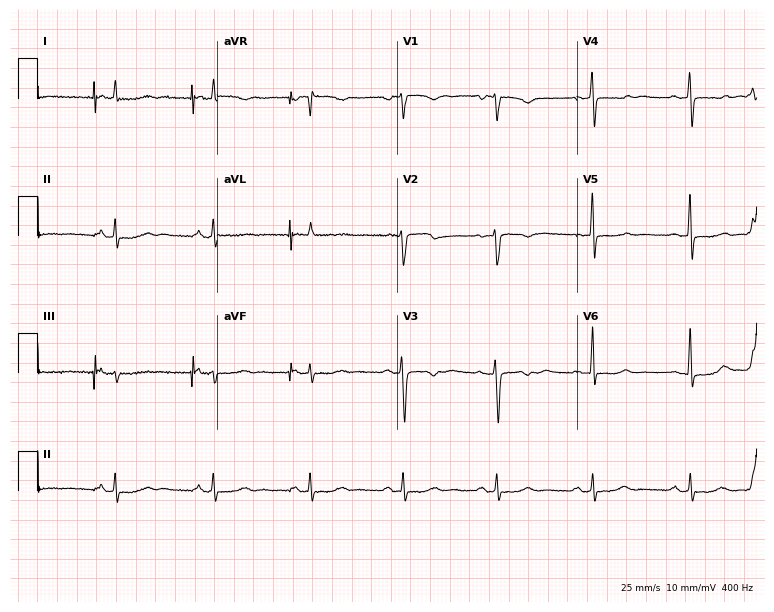
12-lead ECG from a 53-year-old female patient. No first-degree AV block, right bundle branch block, left bundle branch block, sinus bradycardia, atrial fibrillation or sinus tachycardia recorded for this tracing.